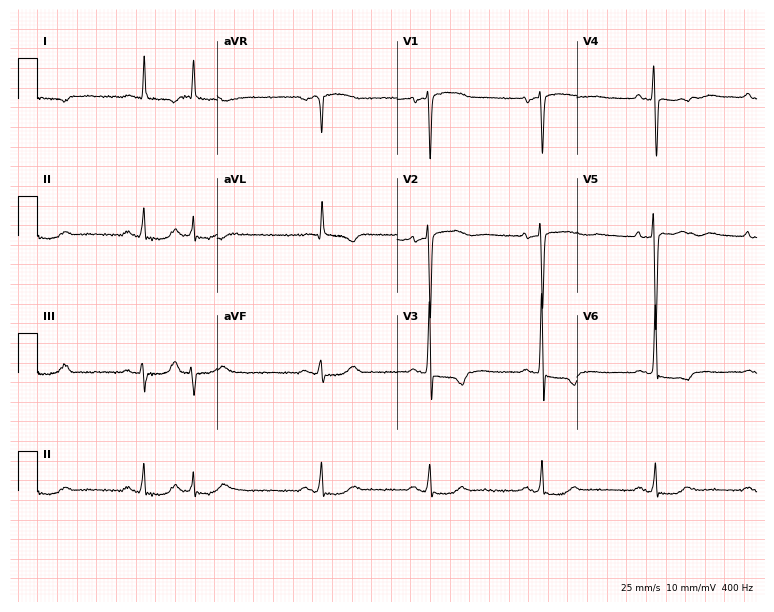
12-lead ECG (7.3-second recording at 400 Hz) from an 82-year-old female. Screened for six findings — first-degree AV block, right bundle branch block, left bundle branch block, sinus bradycardia, atrial fibrillation, sinus tachycardia — none is recorded. Only these six findings were labelled.